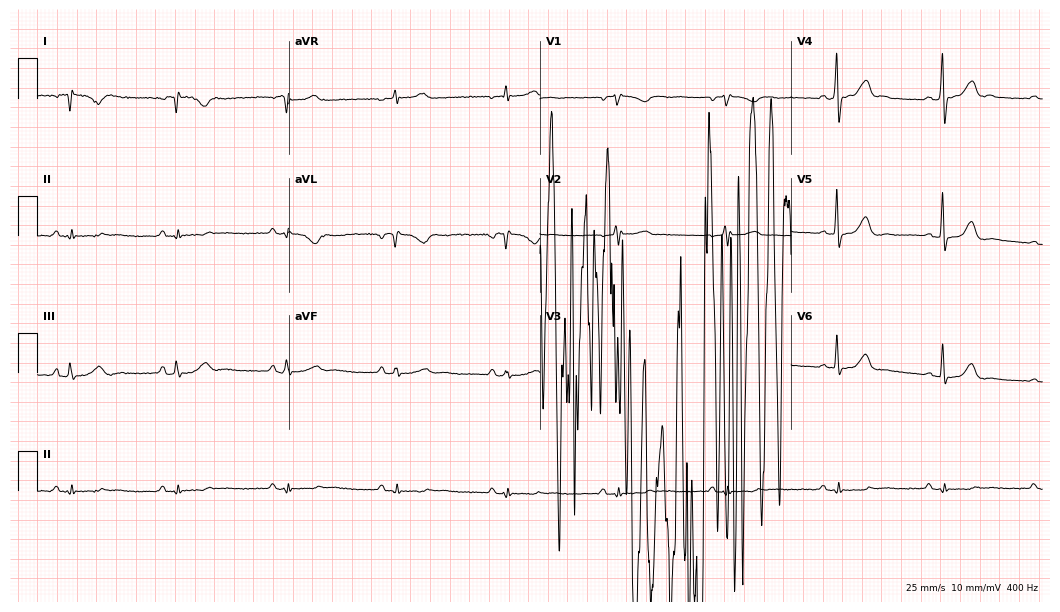
12-lead ECG from a 47-year-old female patient. No first-degree AV block, right bundle branch block (RBBB), left bundle branch block (LBBB), sinus bradycardia, atrial fibrillation (AF) or sinus tachycardia recorded for this tracing.